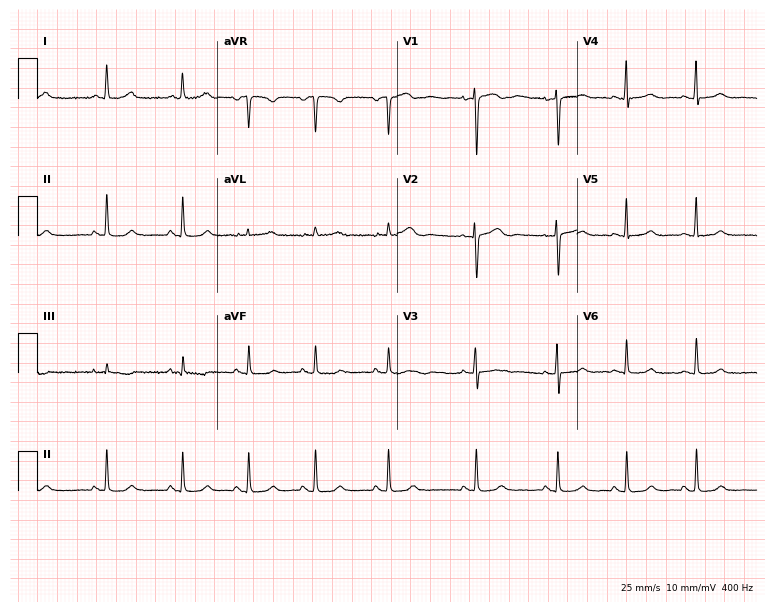
Electrocardiogram, a 21-year-old woman. Overall reading on record: normal ECG.